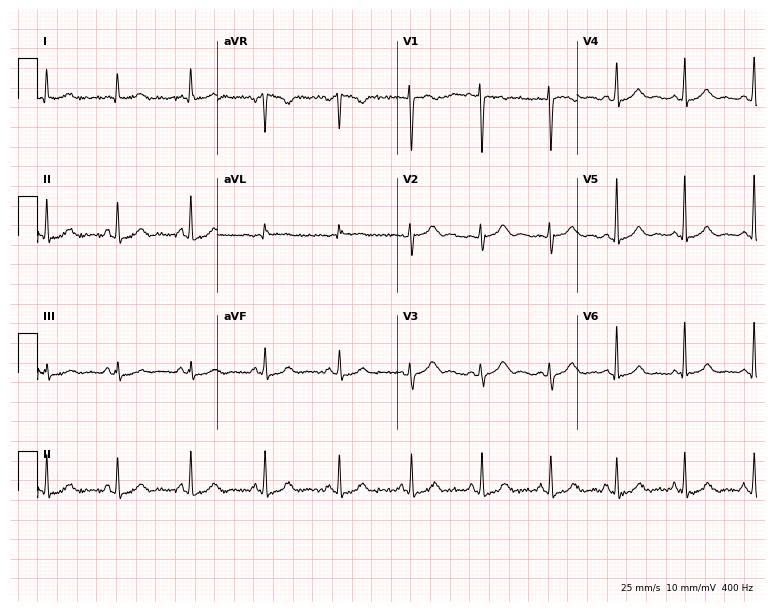
Resting 12-lead electrocardiogram. Patient: a female, 38 years old. Read as a normal ECG.